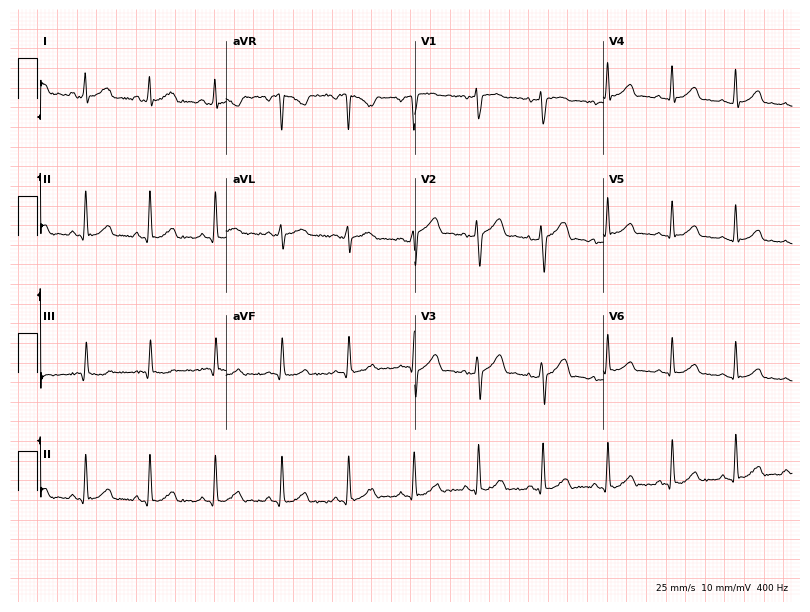
Standard 12-lead ECG recorded from a 38-year-old female. None of these six findings is recorded: first-degree AV block, right bundle branch block, left bundle branch block, sinus bradycardia, atrial fibrillation, sinus tachycardia.